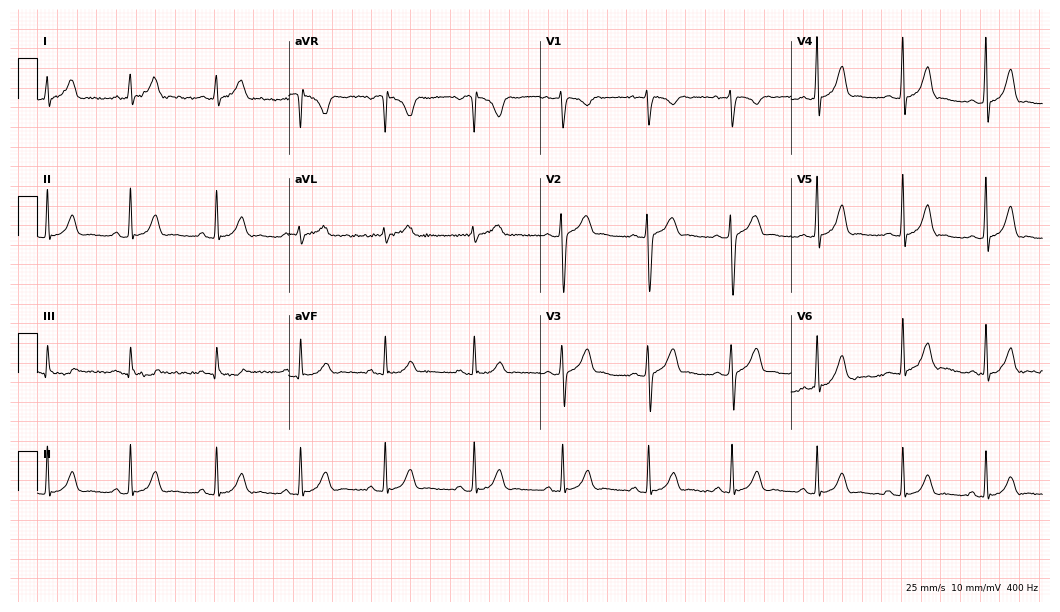
Resting 12-lead electrocardiogram. Patient: a 26-year-old woman. Read as a normal ECG.